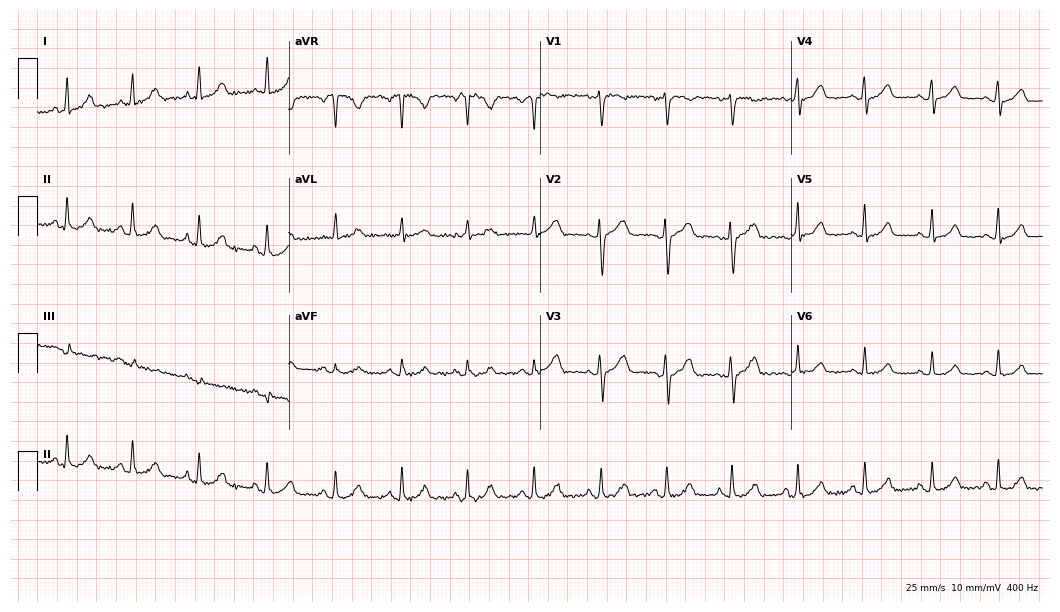
Resting 12-lead electrocardiogram. Patient: a 40-year-old female. Read as a normal ECG.